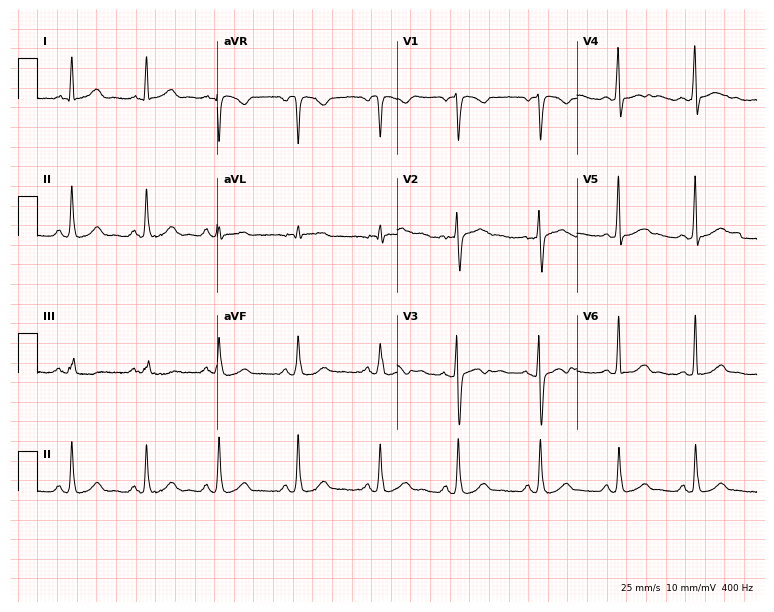
Standard 12-lead ECG recorded from a female patient, 47 years old (7.3-second recording at 400 Hz). None of these six findings is recorded: first-degree AV block, right bundle branch block, left bundle branch block, sinus bradycardia, atrial fibrillation, sinus tachycardia. Findings outside these six are not listed.